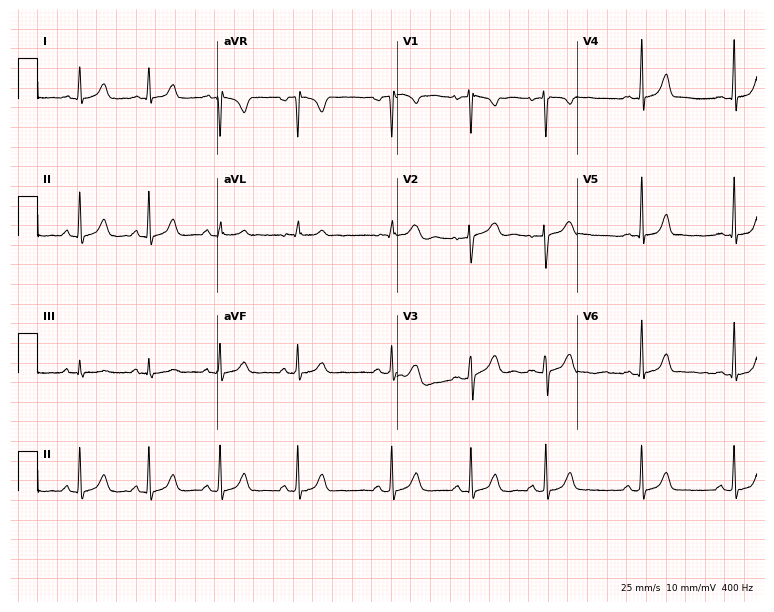
Electrocardiogram (7.3-second recording at 400 Hz), a 20-year-old woman. Overall reading on record: normal ECG.